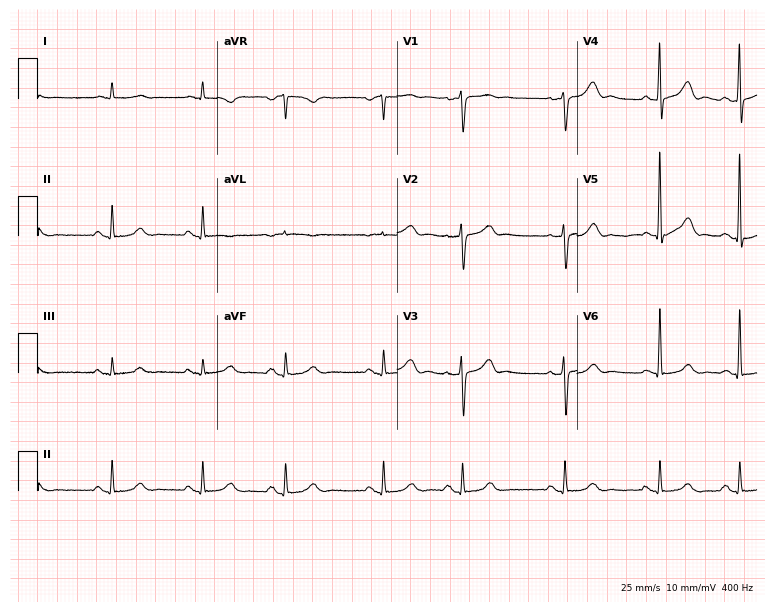
Resting 12-lead electrocardiogram. Patient: an 83-year-old male. Read as a normal ECG.